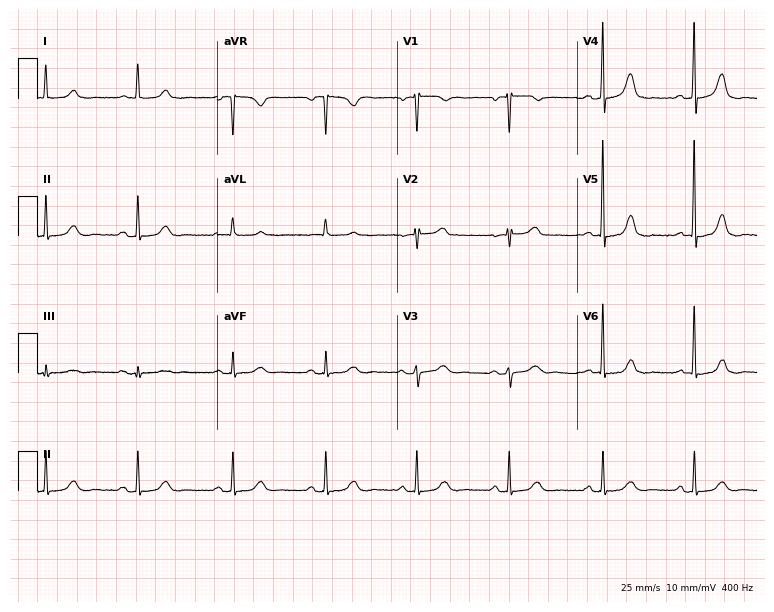
12-lead ECG from a female, 77 years old. Recorded interpretation: within normal limits.